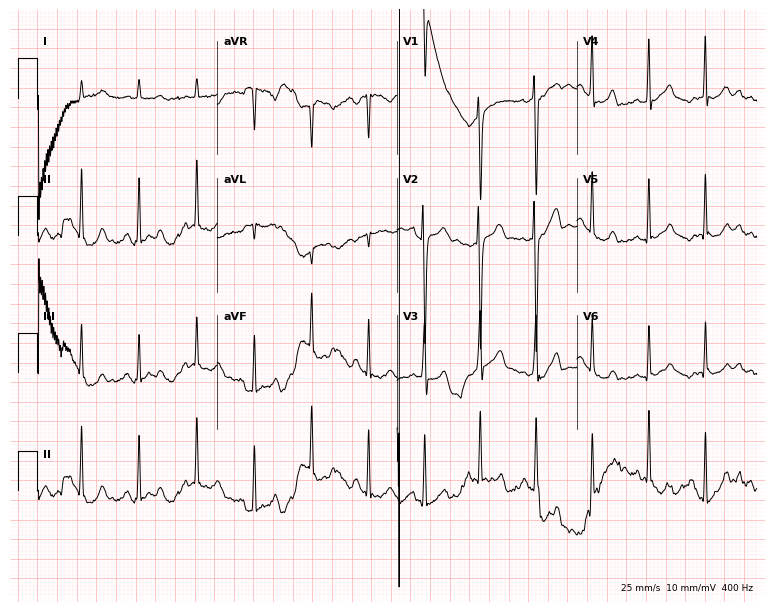
12-lead ECG from a 48-year-old female patient. No first-degree AV block, right bundle branch block, left bundle branch block, sinus bradycardia, atrial fibrillation or sinus tachycardia recorded for this tracing. Only these six findings were labelled.